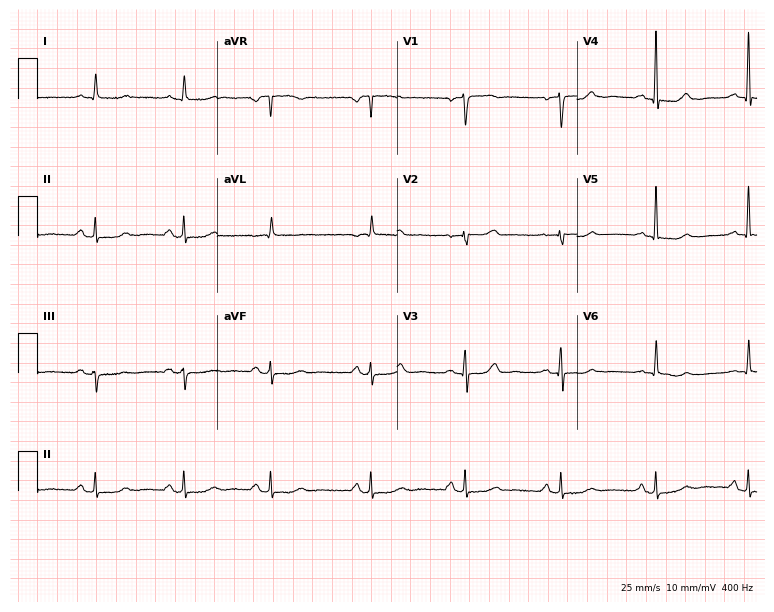
Standard 12-lead ECG recorded from a 60-year-old female (7.3-second recording at 400 Hz). None of these six findings is recorded: first-degree AV block, right bundle branch block, left bundle branch block, sinus bradycardia, atrial fibrillation, sinus tachycardia.